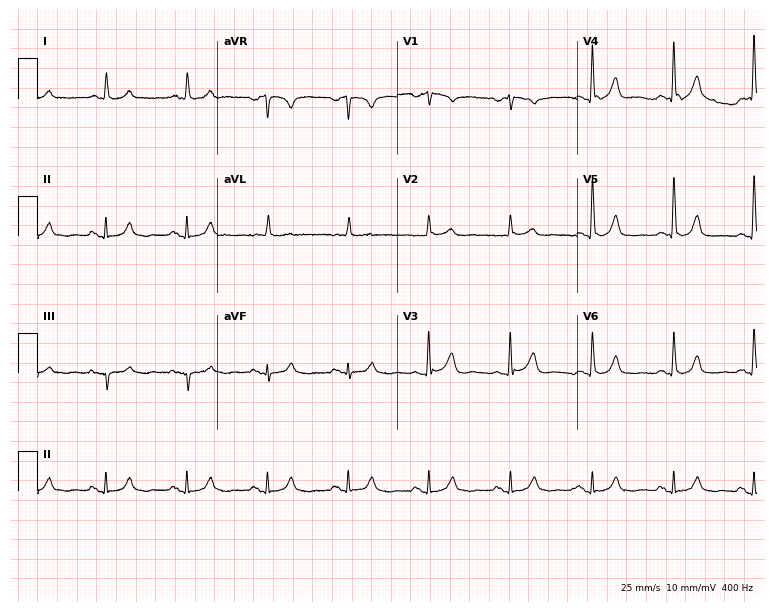
12-lead ECG from a 66-year-old male. Recorded interpretation: within normal limits.